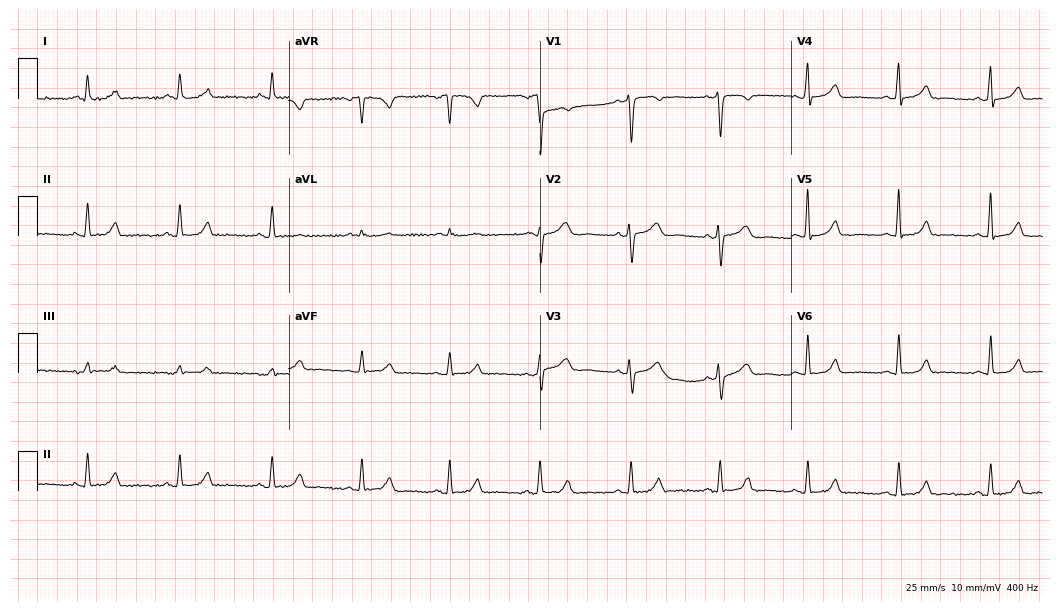
12-lead ECG from a 44-year-old female. No first-degree AV block, right bundle branch block, left bundle branch block, sinus bradycardia, atrial fibrillation or sinus tachycardia recorded for this tracing.